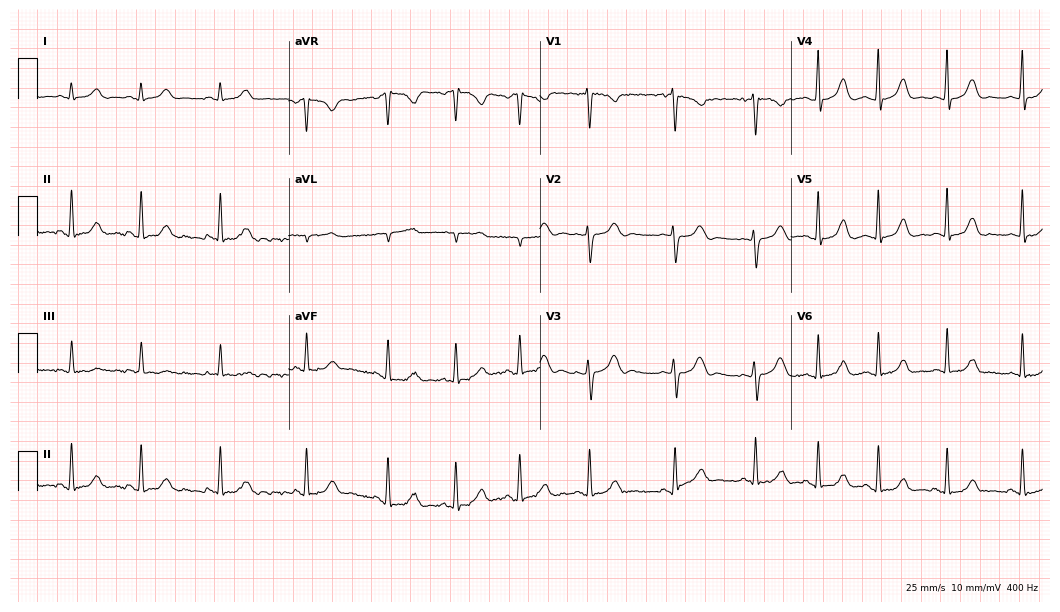
ECG — a female, 24 years old. Labelled as a normal ECG.